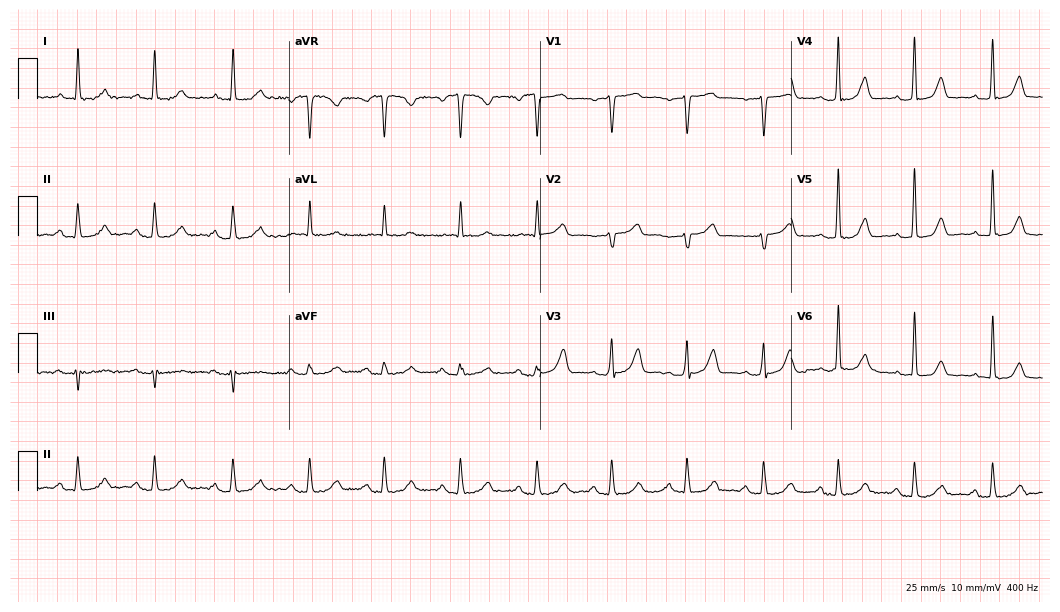
Resting 12-lead electrocardiogram. Patient: a 65-year-old woman. Read as a normal ECG.